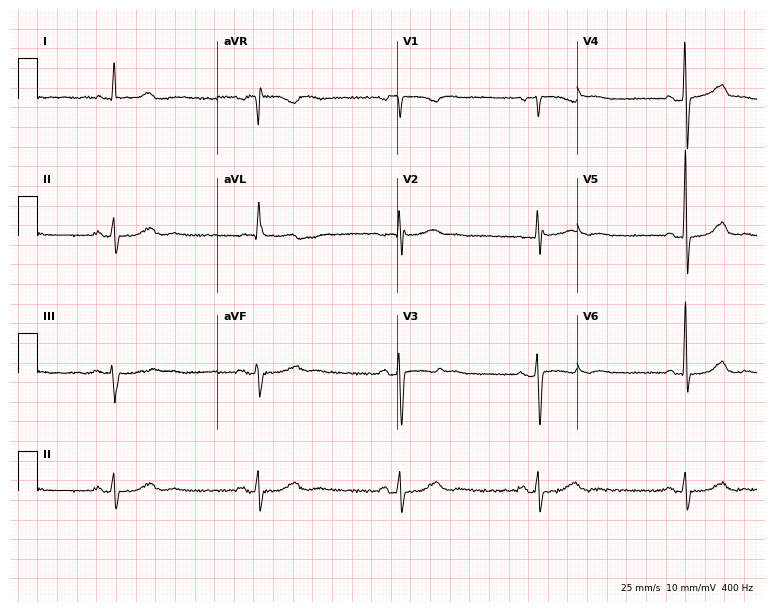
12-lead ECG from a 69-year-old female (7.3-second recording at 400 Hz). Shows sinus bradycardia (a sinus rate of 50 beats per minute or less).